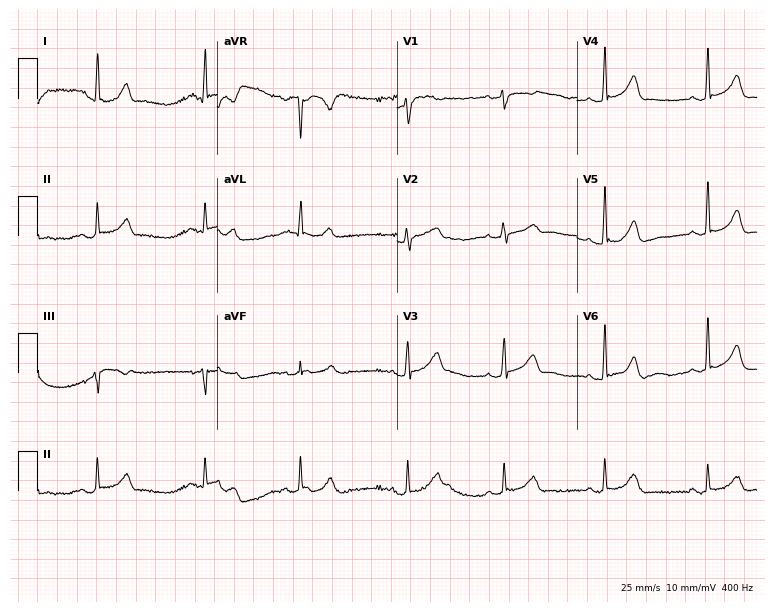
Electrocardiogram (7.3-second recording at 400 Hz), a 35-year-old female patient. Overall reading on record: normal ECG.